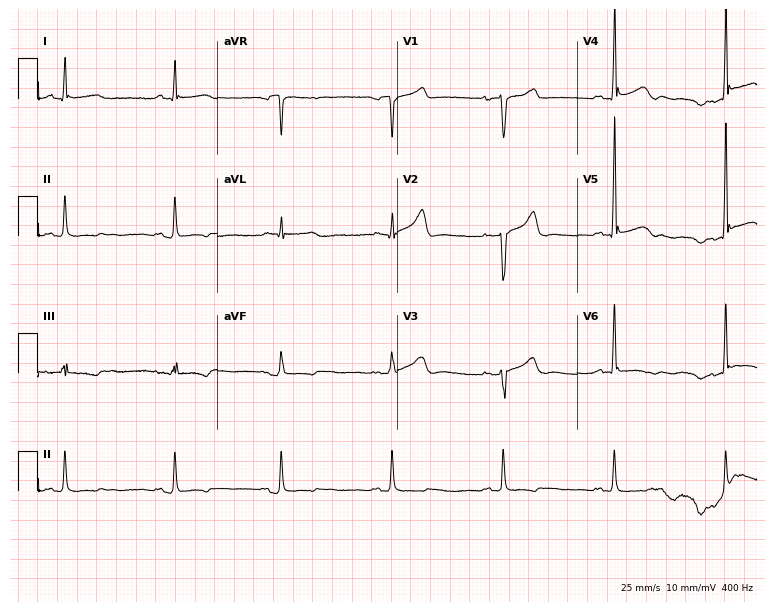
ECG (7.3-second recording at 400 Hz) — a 58-year-old male. Screened for six findings — first-degree AV block, right bundle branch block, left bundle branch block, sinus bradycardia, atrial fibrillation, sinus tachycardia — none is recorded. Findings outside these six are not listed.